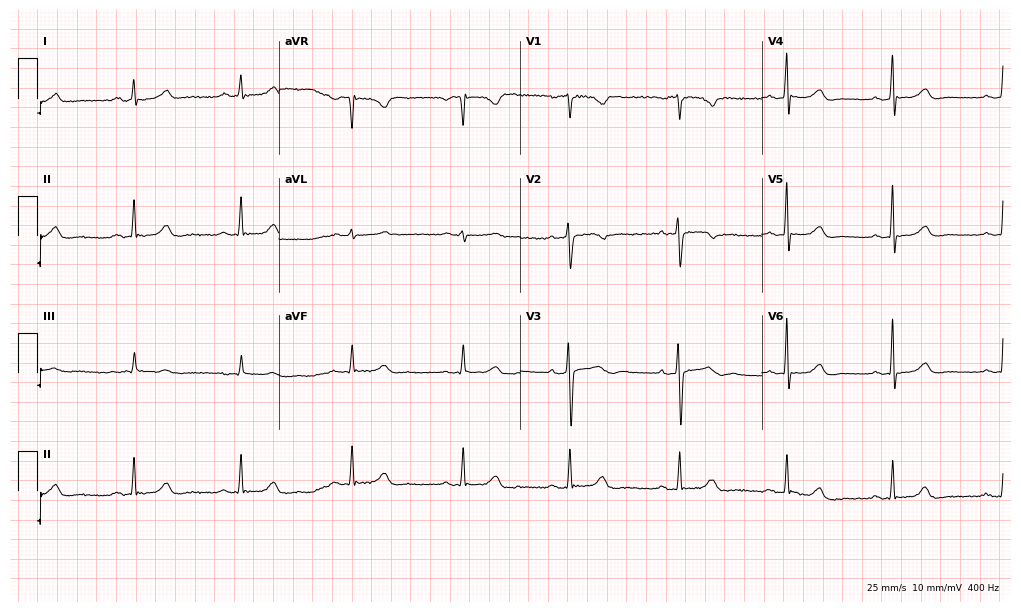
12-lead ECG from a 41-year-old female patient. Recorded interpretation: within normal limits.